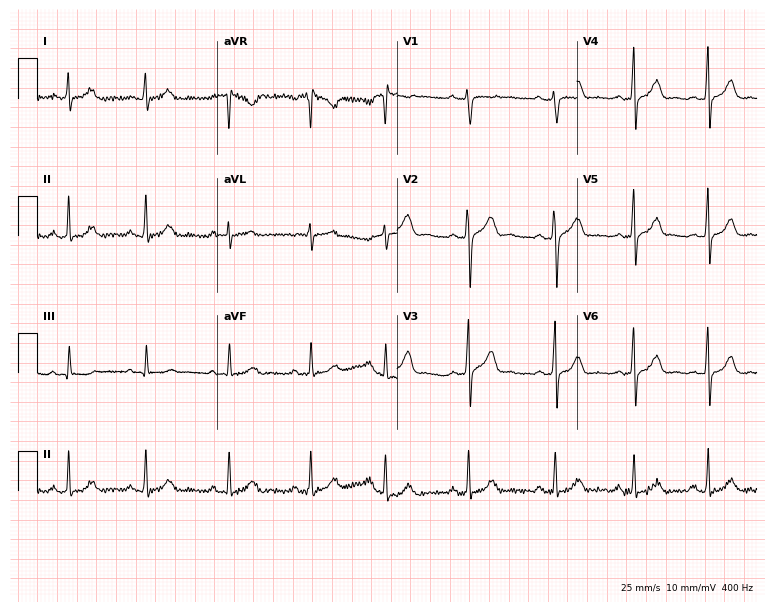
Electrocardiogram, a female, 20 years old. Of the six screened findings (first-degree AV block, right bundle branch block, left bundle branch block, sinus bradycardia, atrial fibrillation, sinus tachycardia), none is recorded.